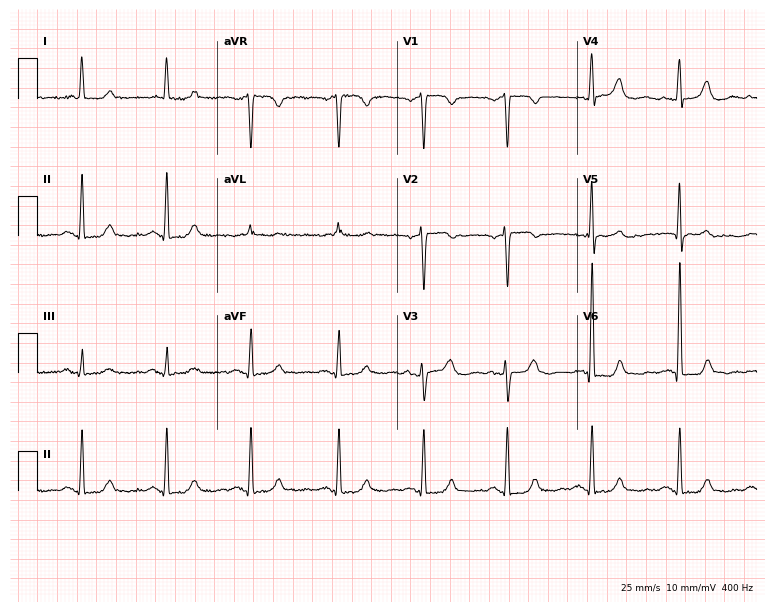
Standard 12-lead ECG recorded from a 78-year-old woman (7.3-second recording at 400 Hz). None of these six findings is recorded: first-degree AV block, right bundle branch block (RBBB), left bundle branch block (LBBB), sinus bradycardia, atrial fibrillation (AF), sinus tachycardia.